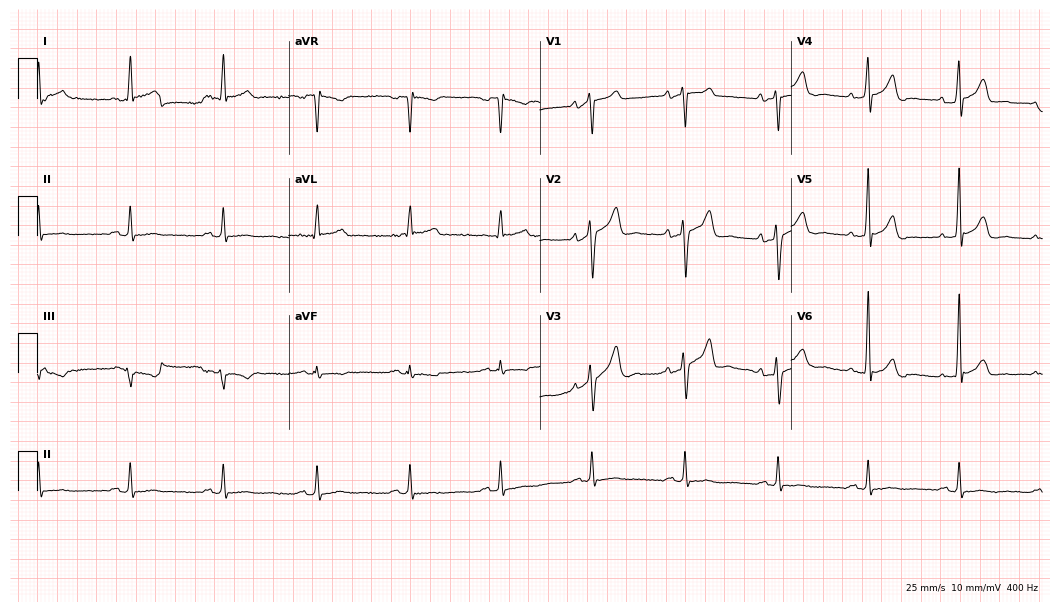
Electrocardiogram, a 55-year-old female patient. Of the six screened findings (first-degree AV block, right bundle branch block, left bundle branch block, sinus bradycardia, atrial fibrillation, sinus tachycardia), none is recorded. Findings outside these six are not listed.